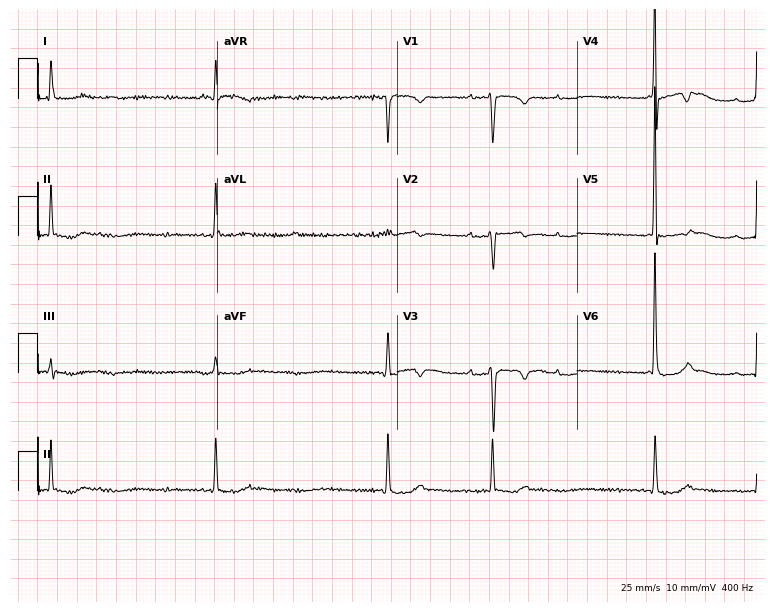
Electrocardiogram, a female, 77 years old. Interpretation includes first-degree AV block, atrial fibrillation.